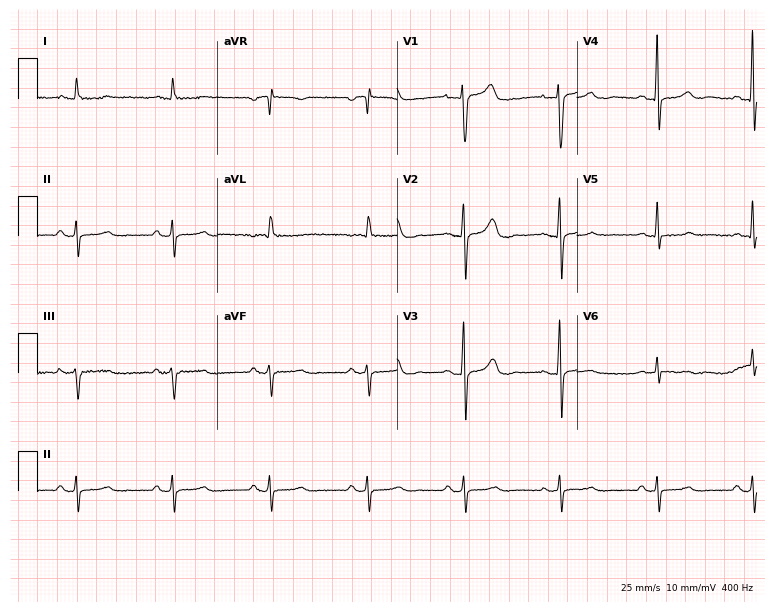
Resting 12-lead electrocardiogram (7.3-second recording at 400 Hz). Patient: a 70-year-old female. None of these six findings is recorded: first-degree AV block, right bundle branch block, left bundle branch block, sinus bradycardia, atrial fibrillation, sinus tachycardia.